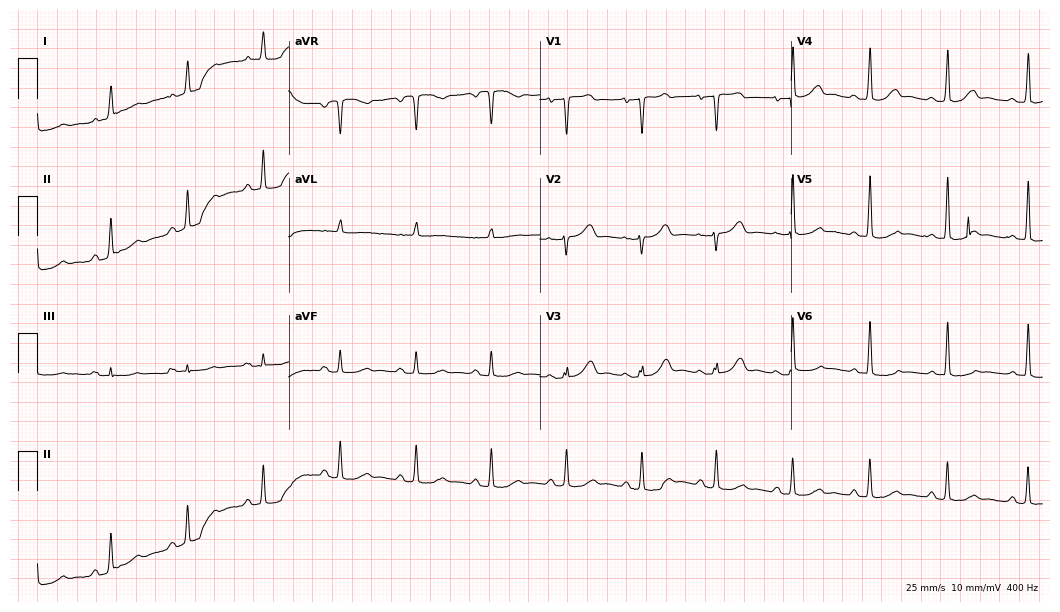
12-lead ECG (10.2-second recording at 400 Hz) from a 67-year-old woman. Screened for six findings — first-degree AV block, right bundle branch block, left bundle branch block, sinus bradycardia, atrial fibrillation, sinus tachycardia — none is recorded. Only these six findings were labelled.